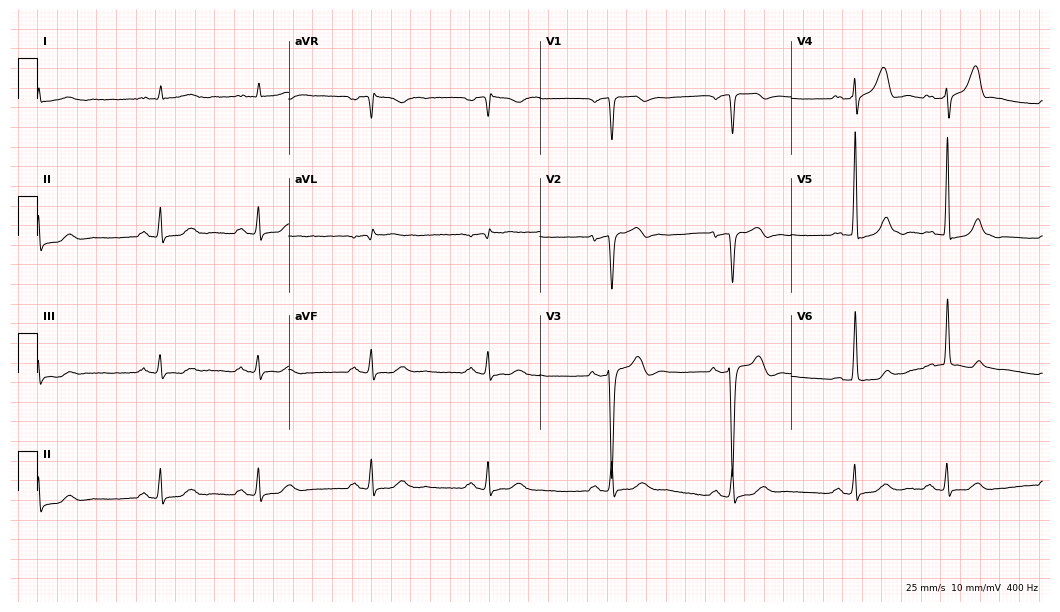
ECG — a man, 73 years old. Screened for six findings — first-degree AV block, right bundle branch block (RBBB), left bundle branch block (LBBB), sinus bradycardia, atrial fibrillation (AF), sinus tachycardia — none is recorded.